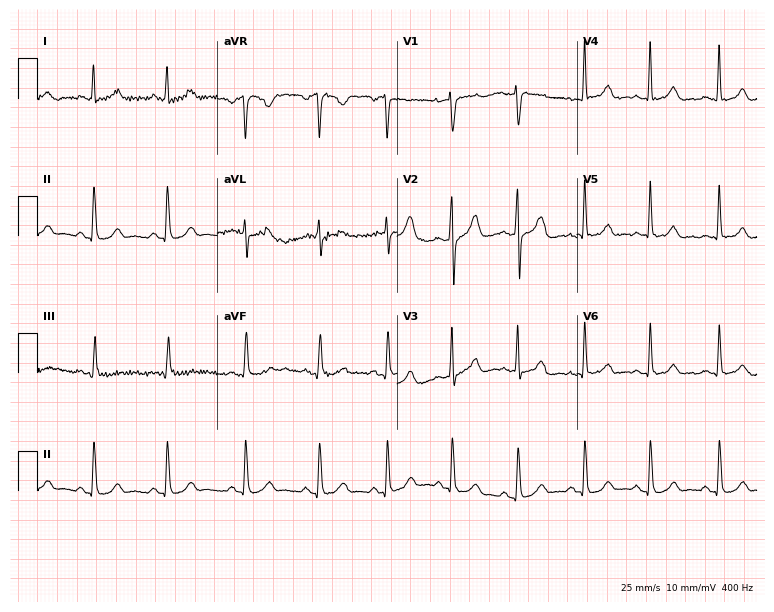
12-lead ECG from a 30-year-old female (7.3-second recording at 400 Hz). Recorded interpretation: within normal limits.